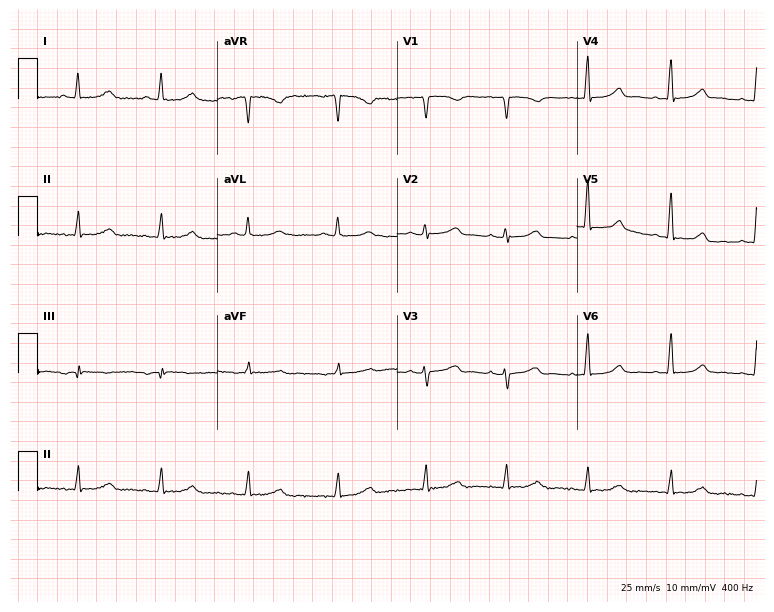
Resting 12-lead electrocardiogram. Patient: a 48-year-old female. None of these six findings is recorded: first-degree AV block, right bundle branch block, left bundle branch block, sinus bradycardia, atrial fibrillation, sinus tachycardia. Other findings, if any, are not listed.